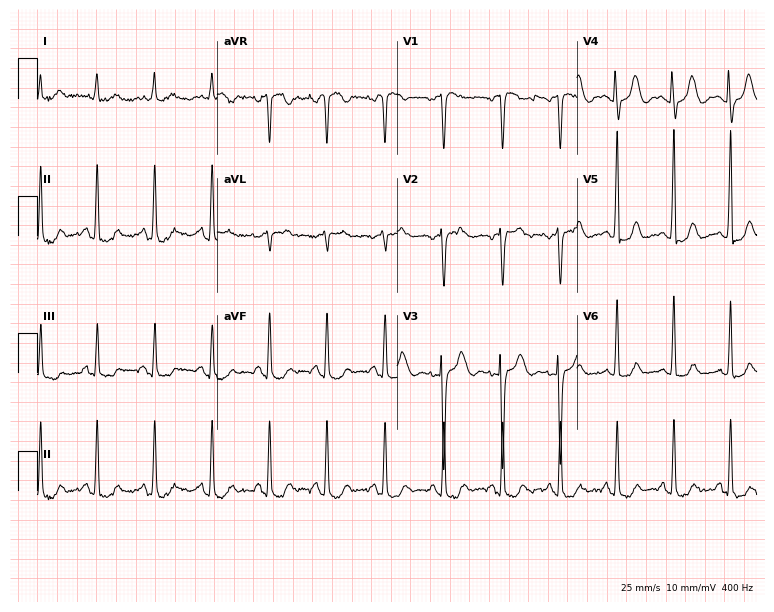
12-lead ECG from a woman, 79 years old (7.3-second recording at 400 Hz). No first-degree AV block, right bundle branch block (RBBB), left bundle branch block (LBBB), sinus bradycardia, atrial fibrillation (AF) or sinus tachycardia recorded for this tracing. Findings outside these six are not listed.